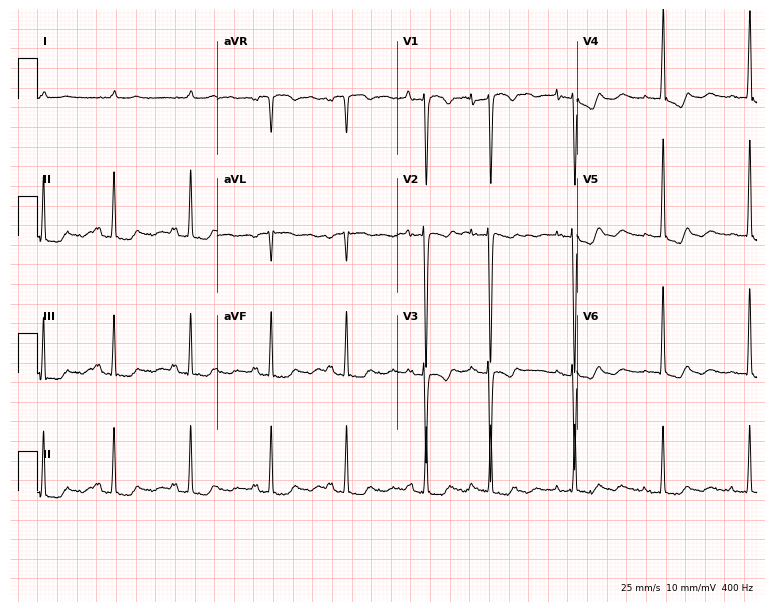
12-lead ECG from a female patient, 78 years old (7.3-second recording at 400 Hz). No first-degree AV block, right bundle branch block, left bundle branch block, sinus bradycardia, atrial fibrillation or sinus tachycardia recorded for this tracing. Other findings, if any, are not listed.